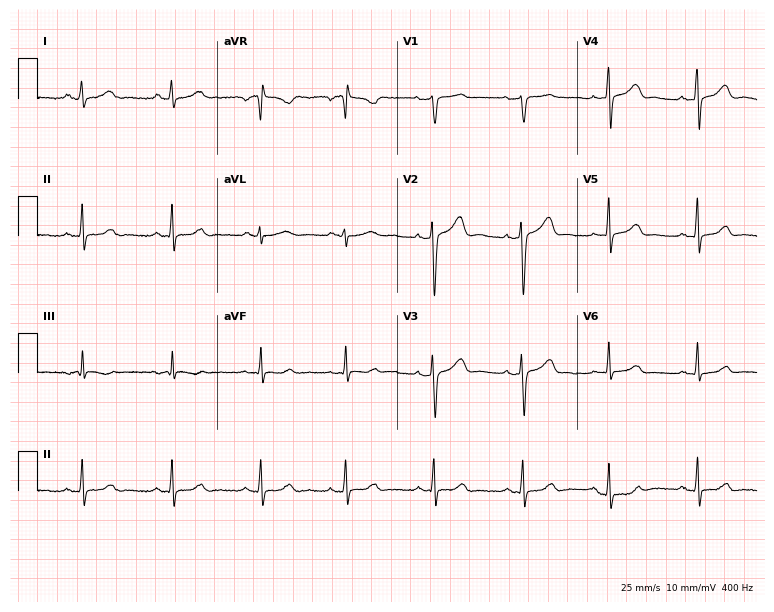
12-lead ECG (7.3-second recording at 400 Hz) from a female patient, 34 years old. Labelled as a normal ECG.